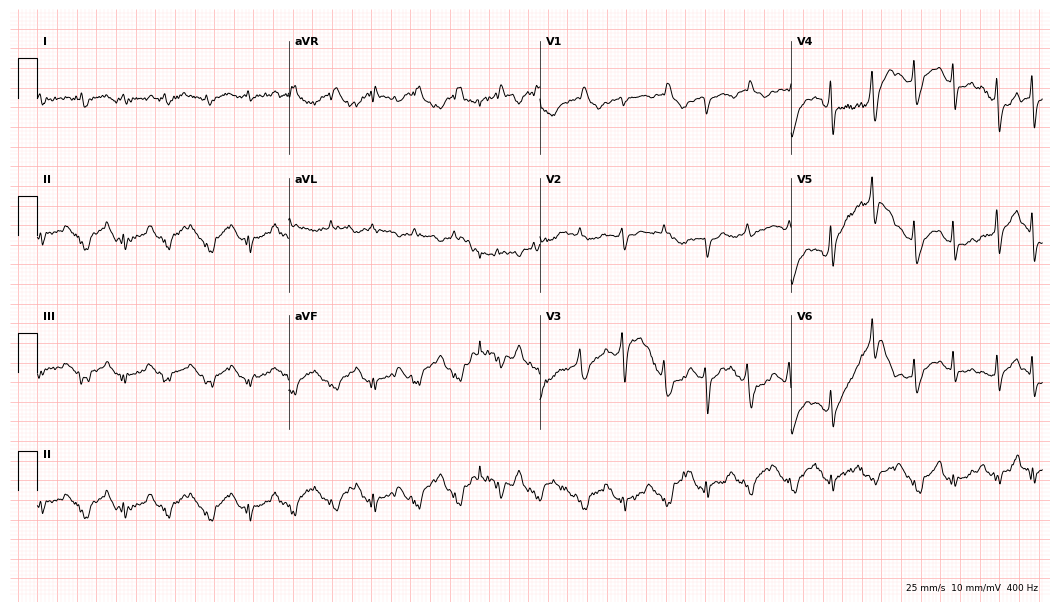
Resting 12-lead electrocardiogram. Patient: a male, 78 years old. None of these six findings is recorded: first-degree AV block, right bundle branch block, left bundle branch block, sinus bradycardia, atrial fibrillation, sinus tachycardia. Other findings, if any, are not listed.